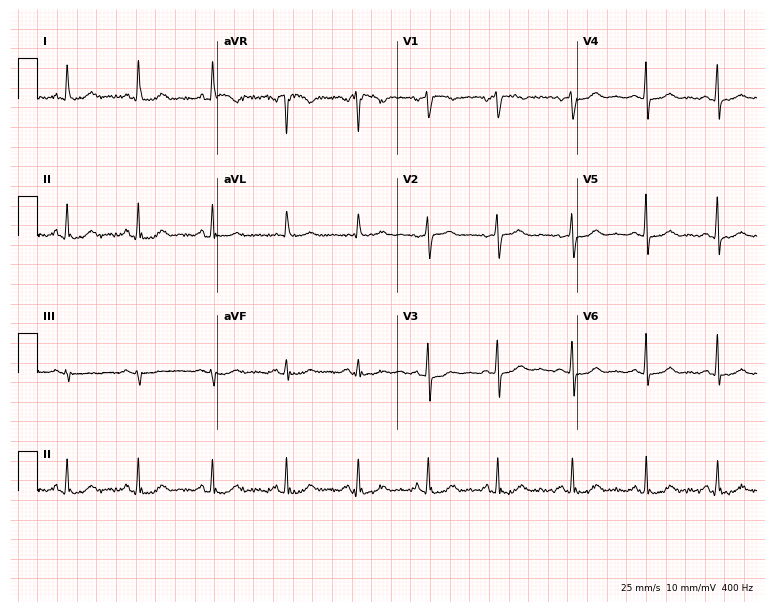
Electrocardiogram (7.3-second recording at 400 Hz), an 81-year-old female patient. Overall reading on record: normal ECG.